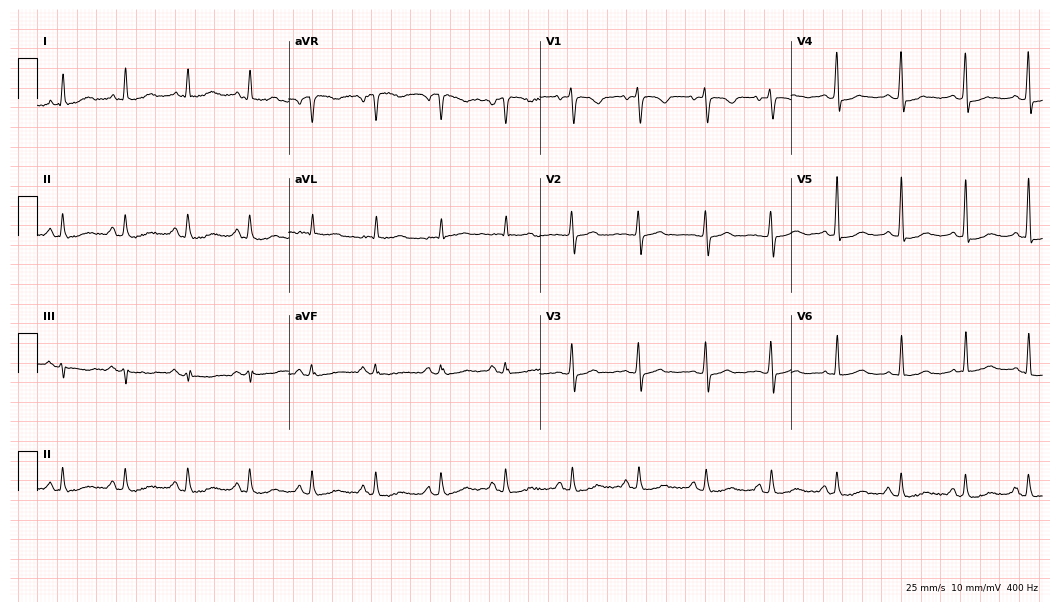
12-lead ECG from a 68-year-old female patient. Recorded interpretation: within normal limits.